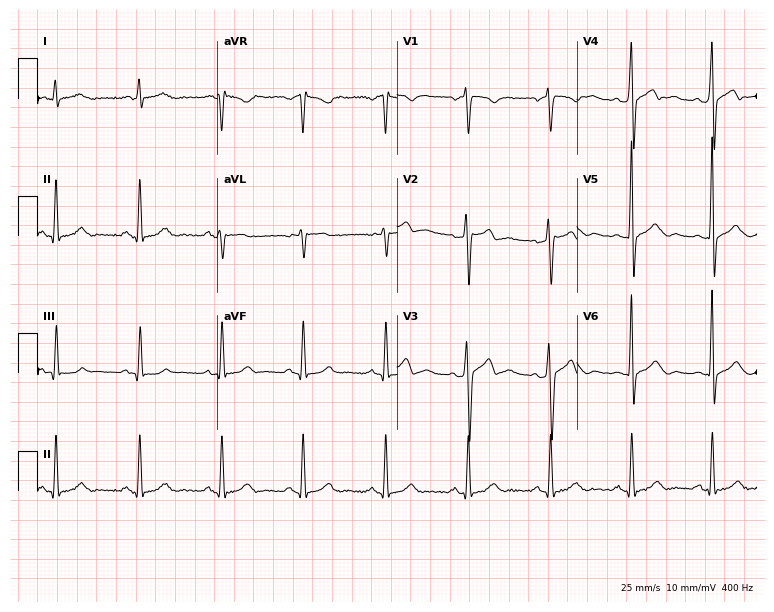
Standard 12-lead ECG recorded from a 42-year-old male patient. None of these six findings is recorded: first-degree AV block, right bundle branch block, left bundle branch block, sinus bradycardia, atrial fibrillation, sinus tachycardia.